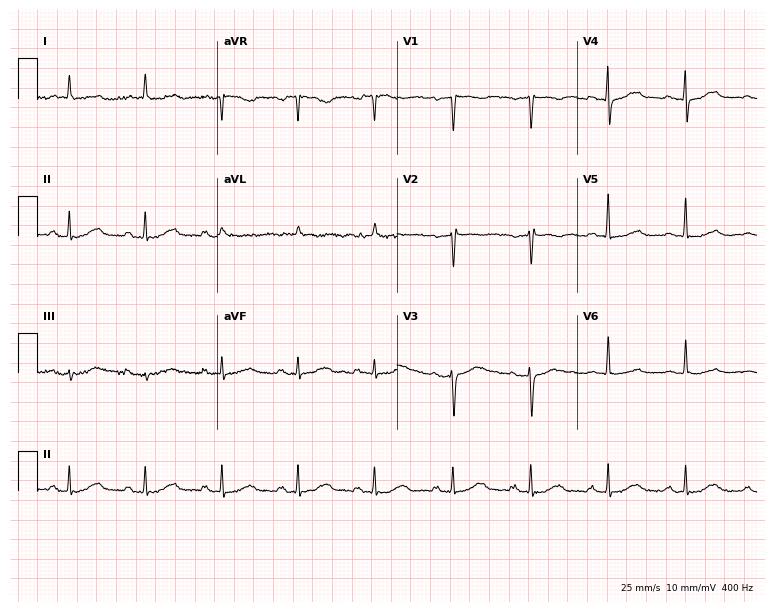
12-lead ECG from a 78-year-old woman (7.3-second recording at 400 Hz). No first-degree AV block, right bundle branch block, left bundle branch block, sinus bradycardia, atrial fibrillation or sinus tachycardia recorded for this tracing.